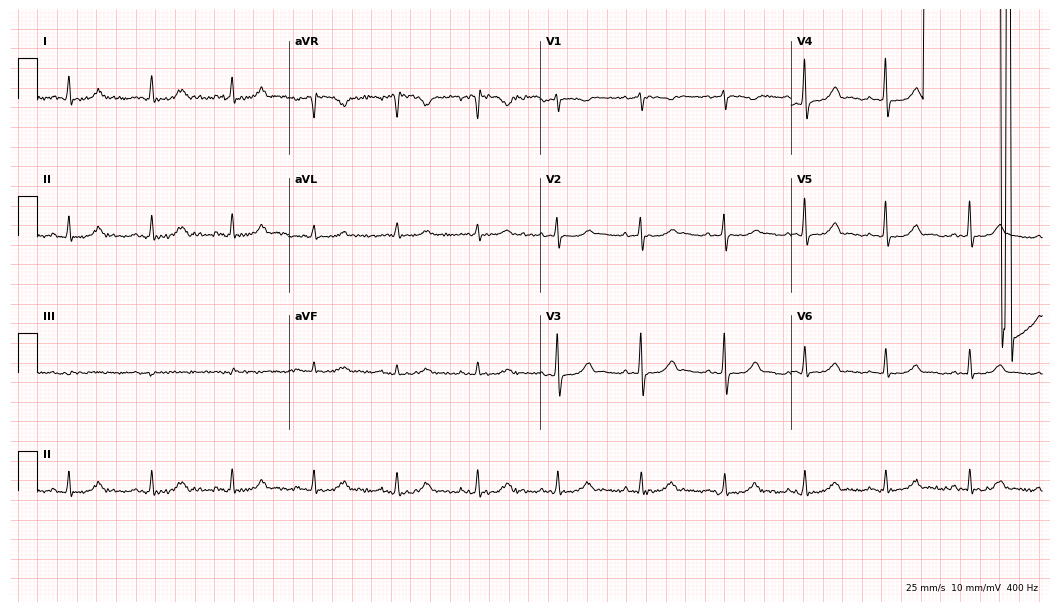
Resting 12-lead electrocardiogram (10.2-second recording at 400 Hz). Patient: a female, 53 years old. None of these six findings is recorded: first-degree AV block, right bundle branch block, left bundle branch block, sinus bradycardia, atrial fibrillation, sinus tachycardia.